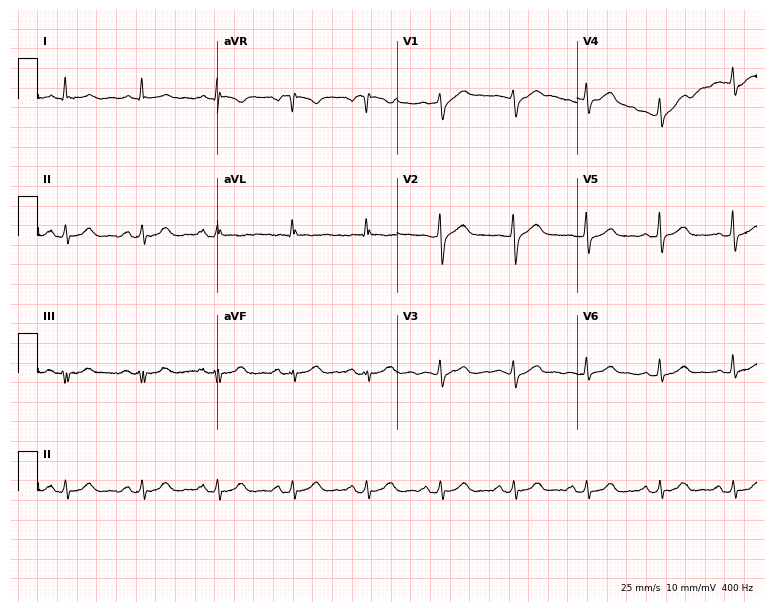
Resting 12-lead electrocardiogram (7.3-second recording at 400 Hz). Patient: a 40-year-old male. Read as a normal ECG.